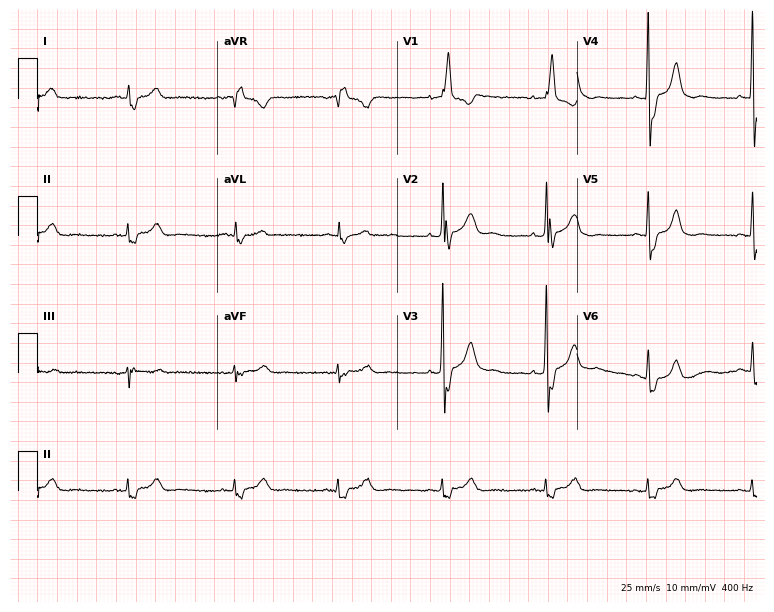
Electrocardiogram, a 64-year-old male patient. Interpretation includes right bundle branch block (RBBB).